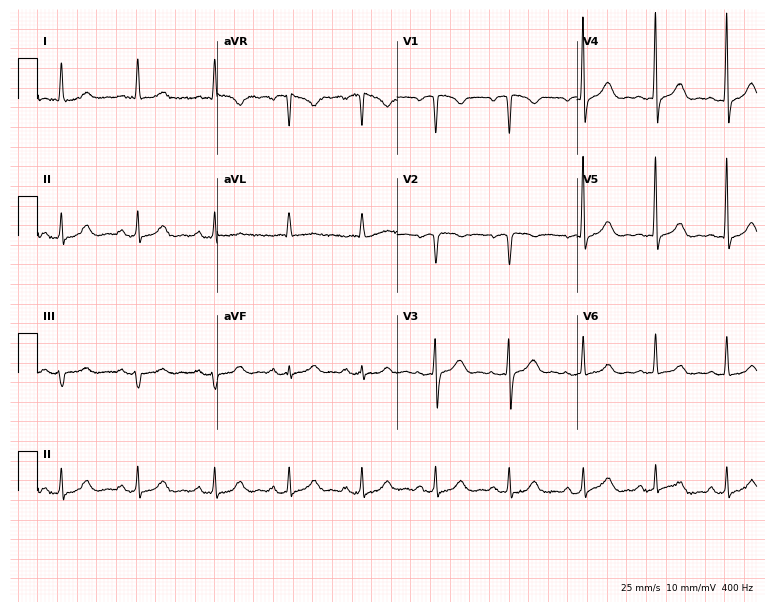
ECG — a woman, 74 years old. Labelled as a normal ECG.